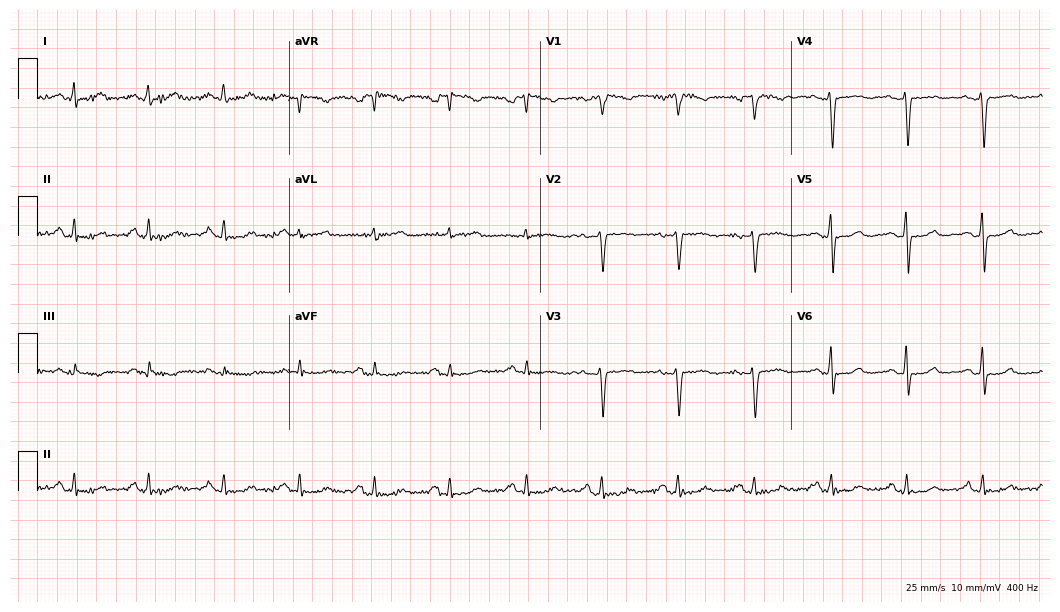
Standard 12-lead ECG recorded from a woman, 53 years old (10.2-second recording at 400 Hz). None of these six findings is recorded: first-degree AV block, right bundle branch block, left bundle branch block, sinus bradycardia, atrial fibrillation, sinus tachycardia.